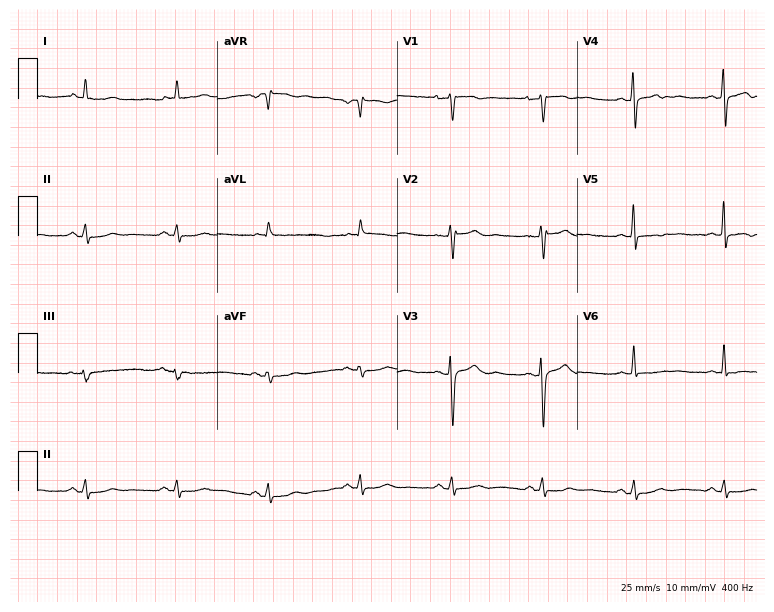
12-lead ECG (7.3-second recording at 400 Hz) from a woman, 33 years old. Labelled as a normal ECG.